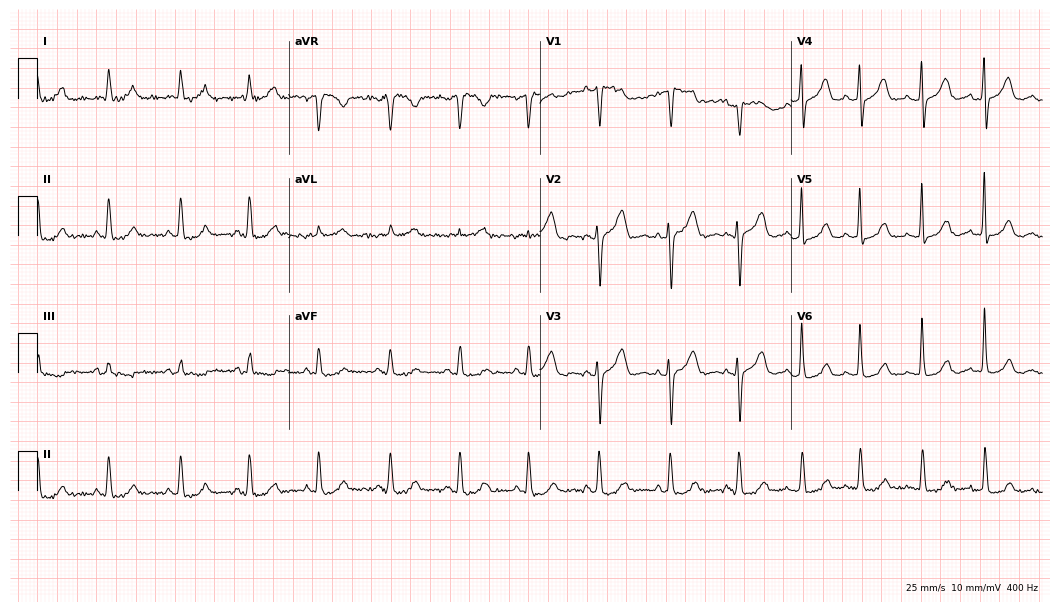
12-lead ECG from a 55-year-old female. No first-degree AV block, right bundle branch block, left bundle branch block, sinus bradycardia, atrial fibrillation or sinus tachycardia recorded for this tracing. Findings outside these six are not listed.